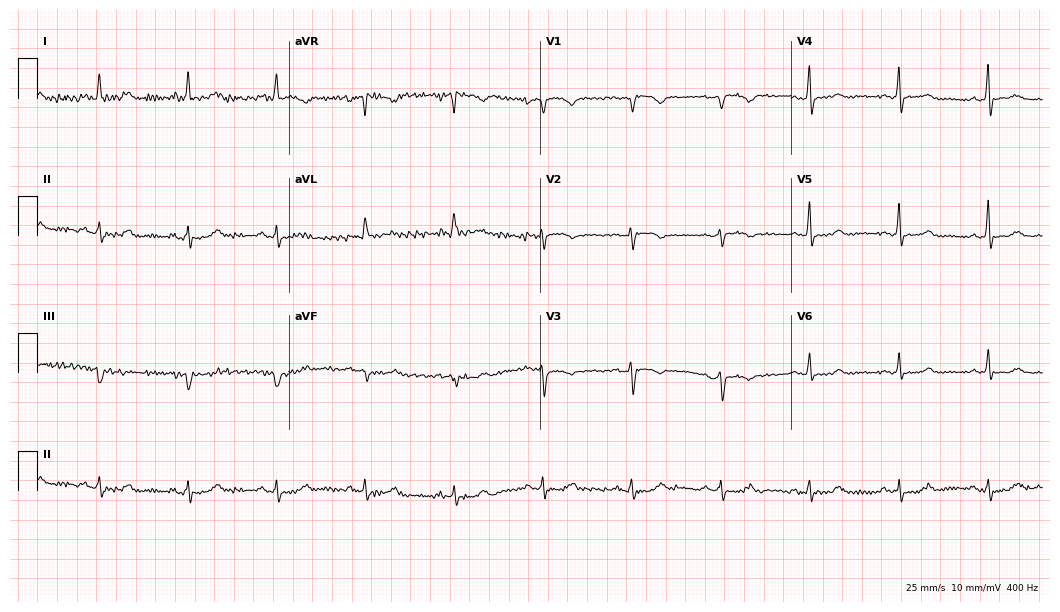
Electrocardiogram, a 70-year-old female. Of the six screened findings (first-degree AV block, right bundle branch block, left bundle branch block, sinus bradycardia, atrial fibrillation, sinus tachycardia), none is recorded.